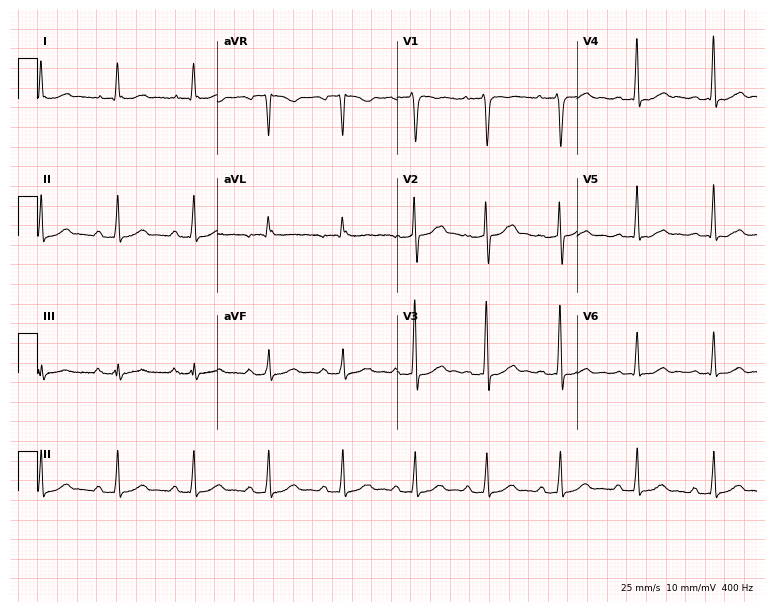
12-lead ECG (7.3-second recording at 400 Hz) from a man, 38 years old. Screened for six findings — first-degree AV block, right bundle branch block, left bundle branch block, sinus bradycardia, atrial fibrillation, sinus tachycardia — none is recorded. Other findings, if any, are not listed.